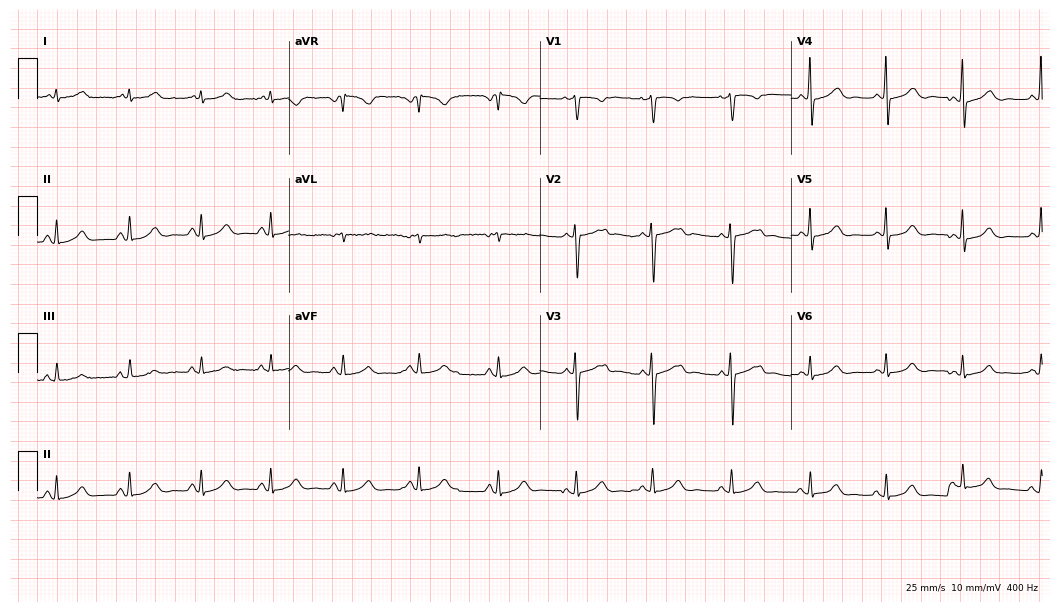
ECG (10.2-second recording at 400 Hz) — a woman, 40 years old. Screened for six findings — first-degree AV block, right bundle branch block (RBBB), left bundle branch block (LBBB), sinus bradycardia, atrial fibrillation (AF), sinus tachycardia — none is recorded. Other findings, if any, are not listed.